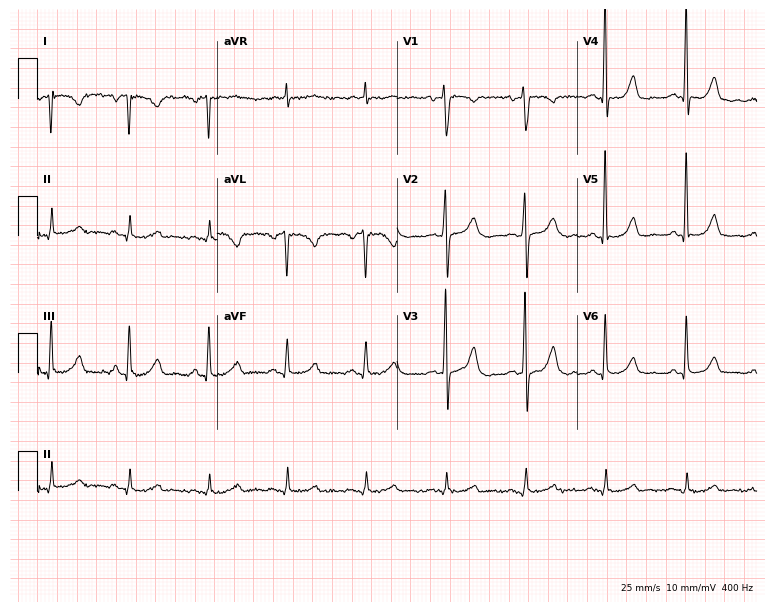
Resting 12-lead electrocardiogram. Patient: a female, 68 years old. None of these six findings is recorded: first-degree AV block, right bundle branch block, left bundle branch block, sinus bradycardia, atrial fibrillation, sinus tachycardia. Only these six findings were labelled.